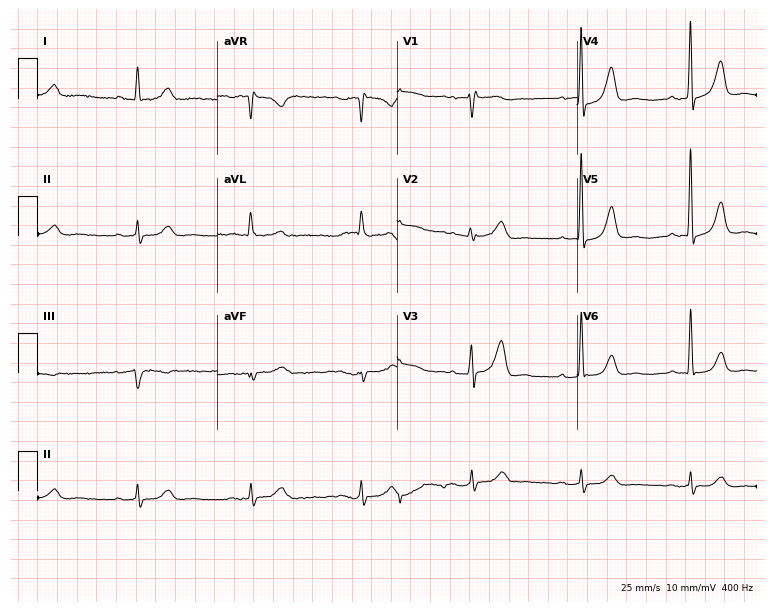
12-lead ECG from a 66-year-old man. No first-degree AV block, right bundle branch block (RBBB), left bundle branch block (LBBB), sinus bradycardia, atrial fibrillation (AF) or sinus tachycardia recorded for this tracing. Other findings, if any, are not listed.